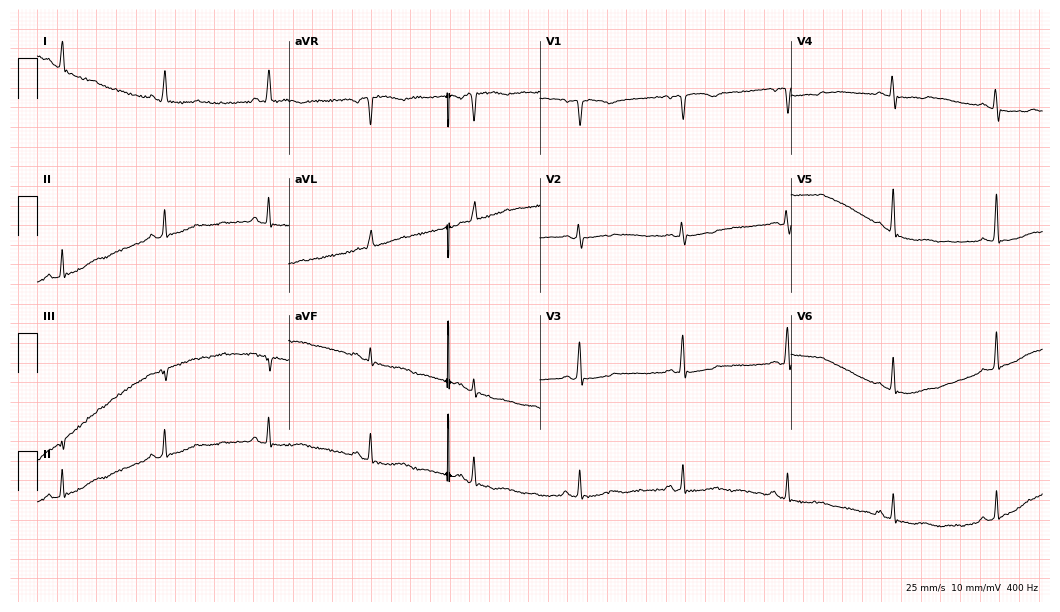
12-lead ECG from a female patient, 59 years old. Screened for six findings — first-degree AV block, right bundle branch block, left bundle branch block, sinus bradycardia, atrial fibrillation, sinus tachycardia — none is recorded. Only these six findings were labelled.